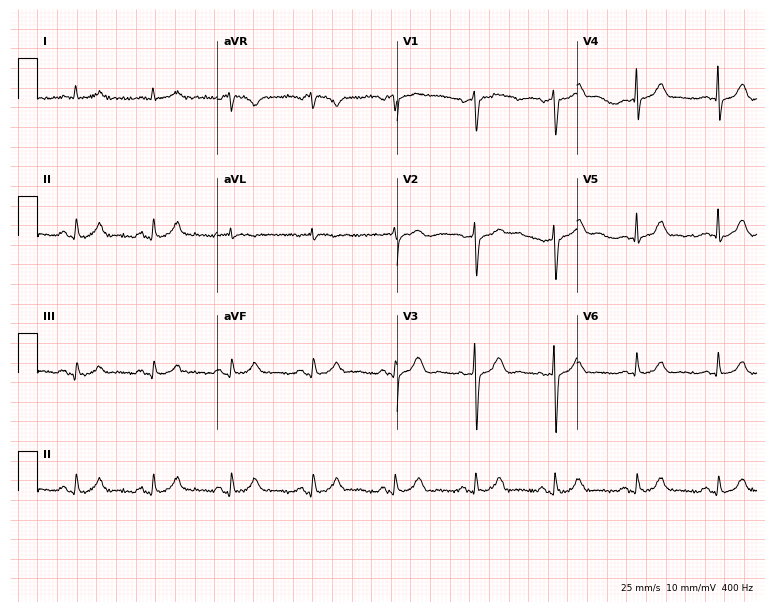
Electrocardiogram (7.3-second recording at 400 Hz), a female, 52 years old. Of the six screened findings (first-degree AV block, right bundle branch block, left bundle branch block, sinus bradycardia, atrial fibrillation, sinus tachycardia), none is recorded.